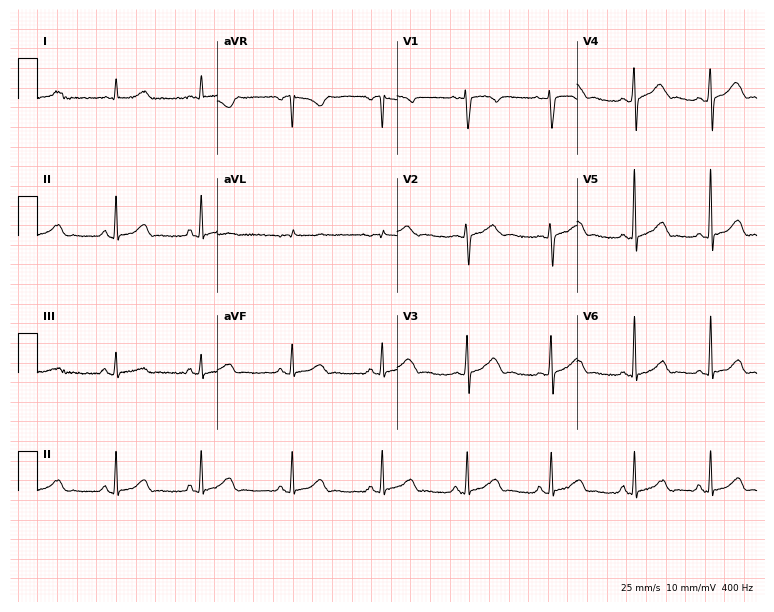
Electrocardiogram (7.3-second recording at 400 Hz), a 23-year-old female. Of the six screened findings (first-degree AV block, right bundle branch block (RBBB), left bundle branch block (LBBB), sinus bradycardia, atrial fibrillation (AF), sinus tachycardia), none is recorded. Only these six findings were labelled.